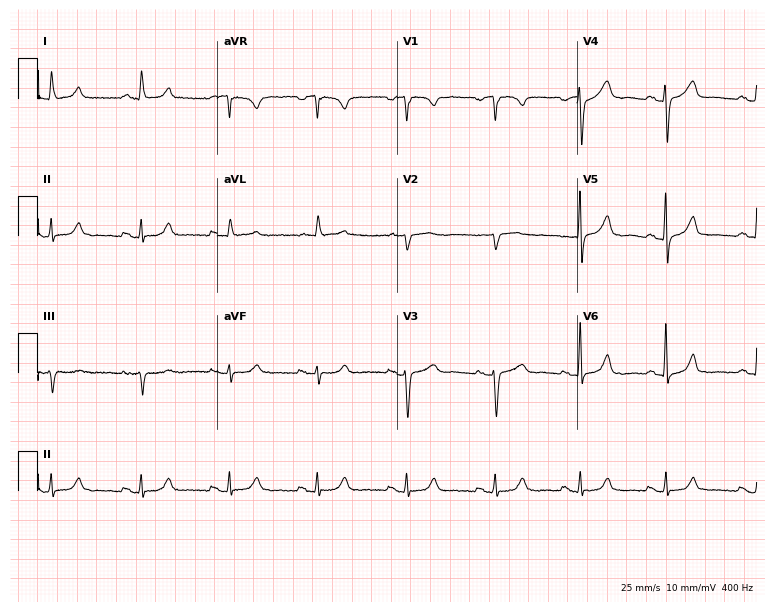
ECG (7.3-second recording at 400 Hz) — a 43-year-old female patient. Screened for six findings — first-degree AV block, right bundle branch block, left bundle branch block, sinus bradycardia, atrial fibrillation, sinus tachycardia — none is recorded.